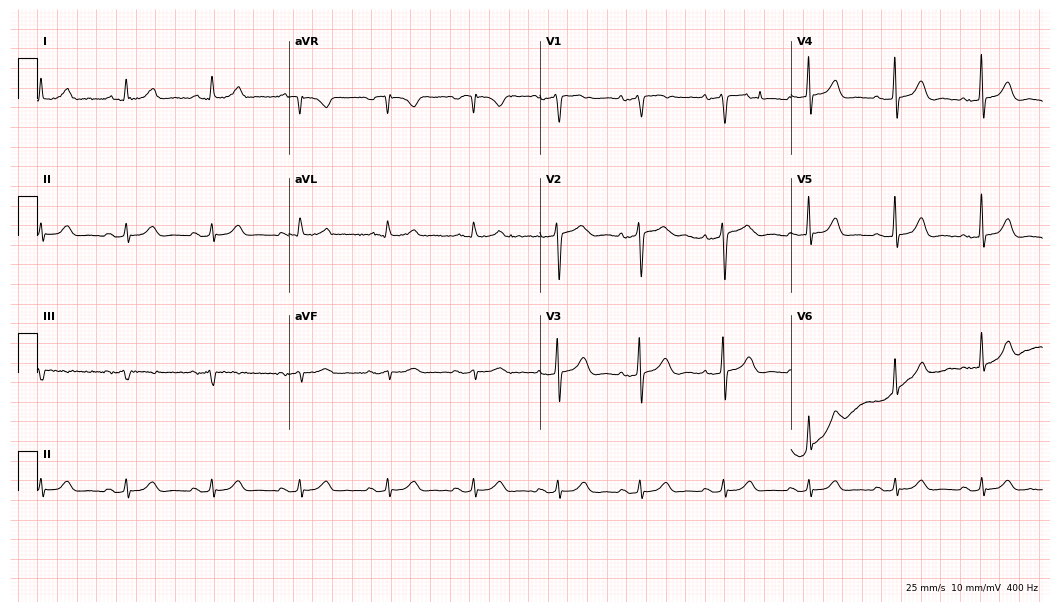
12-lead ECG (10.2-second recording at 400 Hz) from a 73-year-old female patient. Labelled as a normal ECG.